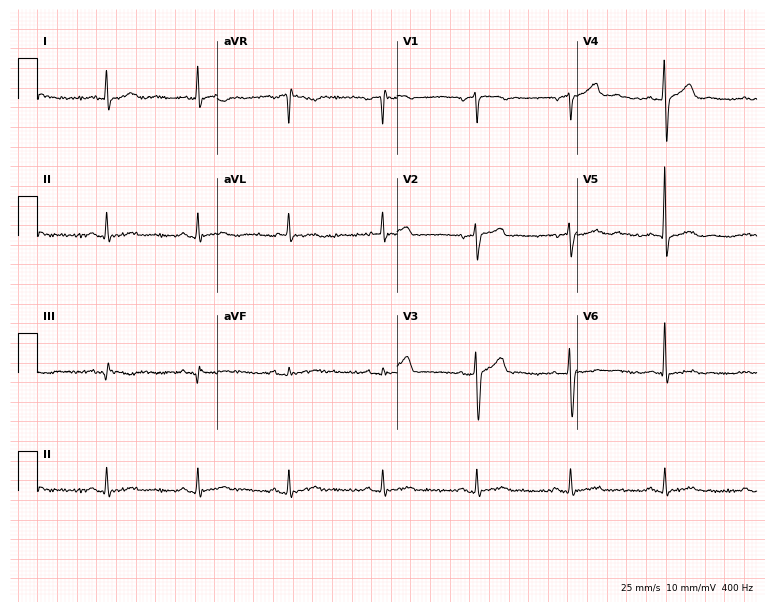
12-lead ECG from a 60-year-old male patient (7.3-second recording at 400 Hz). No first-degree AV block, right bundle branch block (RBBB), left bundle branch block (LBBB), sinus bradycardia, atrial fibrillation (AF) or sinus tachycardia recorded for this tracing. Findings outside these six are not listed.